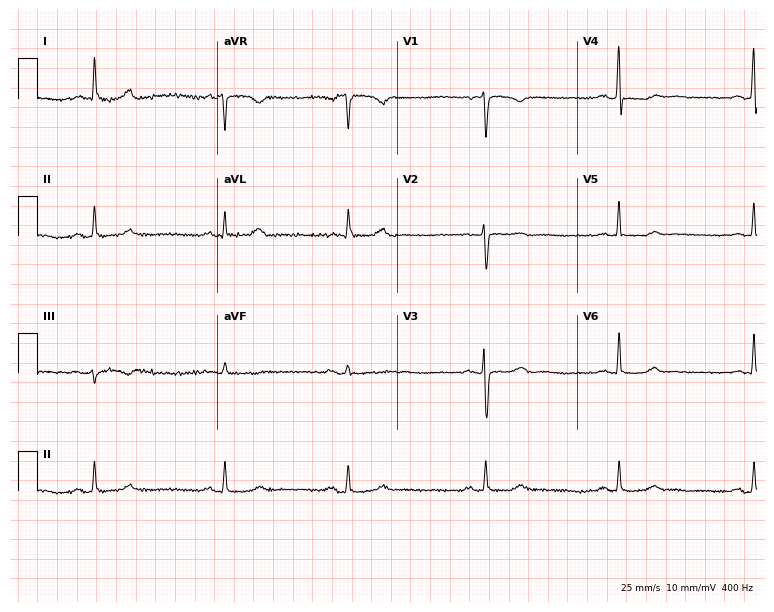
Electrocardiogram (7.3-second recording at 400 Hz), a 63-year-old female. Interpretation includes sinus bradycardia (a sinus rate of 50 beats per minute or less).